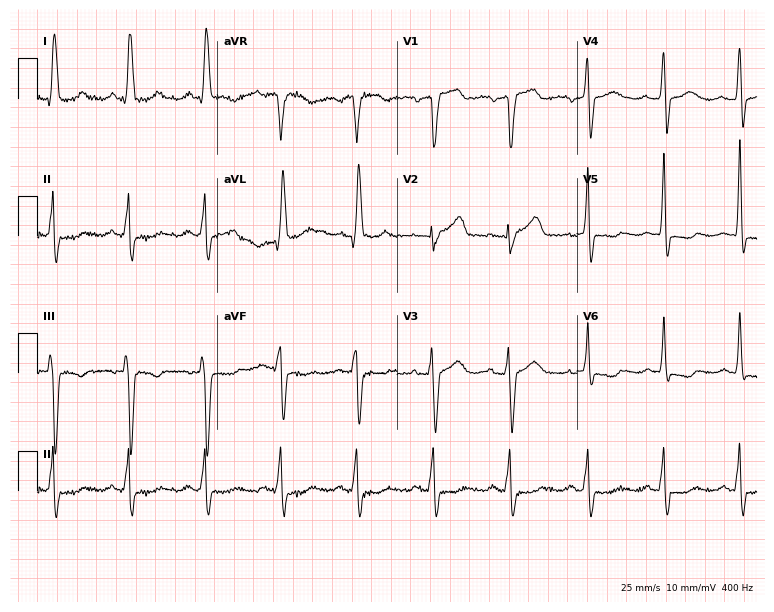
12-lead ECG from a woman, 66 years old (7.3-second recording at 400 Hz). No first-degree AV block, right bundle branch block (RBBB), left bundle branch block (LBBB), sinus bradycardia, atrial fibrillation (AF) or sinus tachycardia recorded for this tracing.